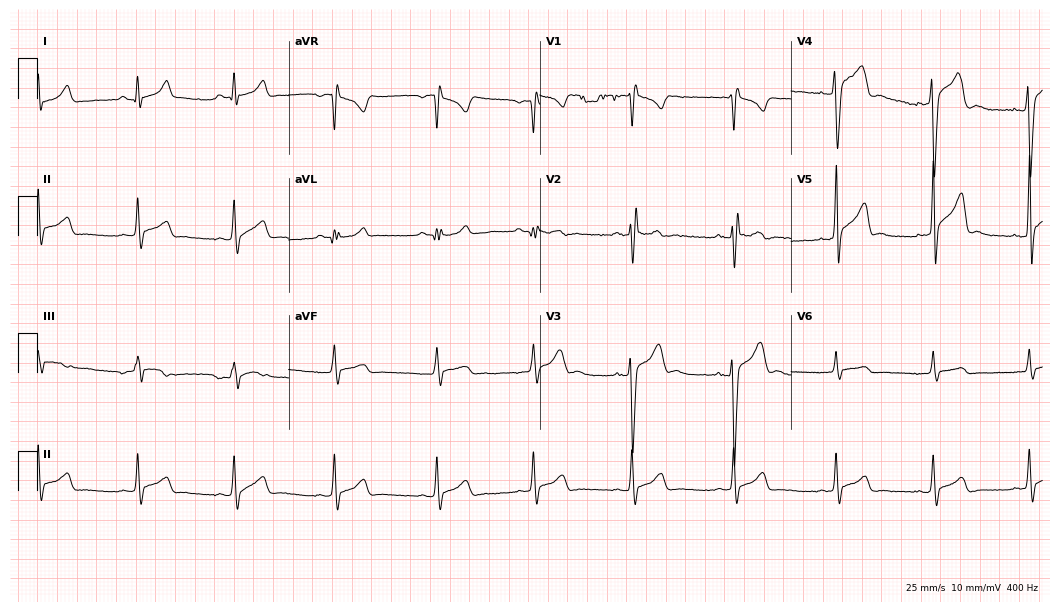
12-lead ECG from a male, 20 years old. No first-degree AV block, right bundle branch block, left bundle branch block, sinus bradycardia, atrial fibrillation or sinus tachycardia recorded for this tracing. Findings outside these six are not listed.